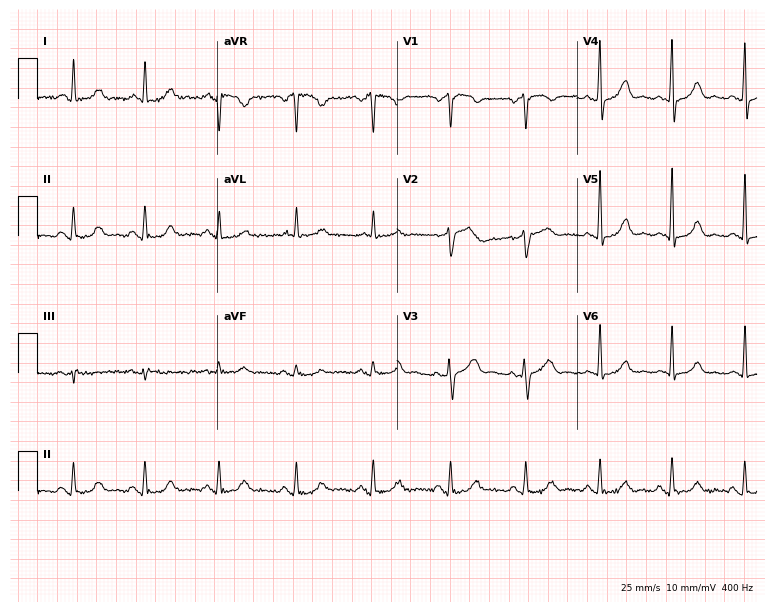
12-lead ECG (7.3-second recording at 400 Hz) from a 54-year-old female patient. Labelled as a normal ECG.